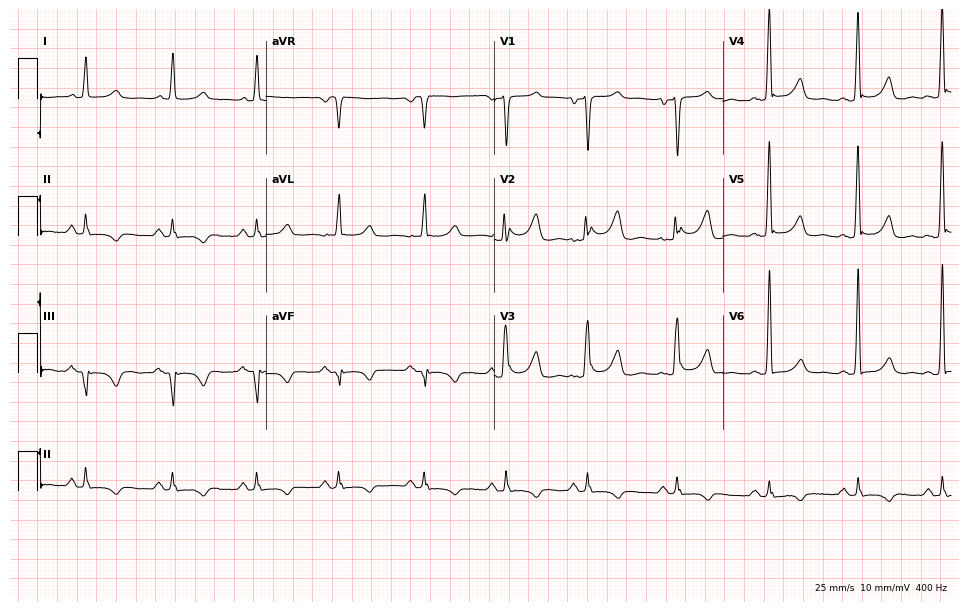
Standard 12-lead ECG recorded from a female patient, 47 years old (9.3-second recording at 400 Hz). None of these six findings is recorded: first-degree AV block, right bundle branch block (RBBB), left bundle branch block (LBBB), sinus bradycardia, atrial fibrillation (AF), sinus tachycardia.